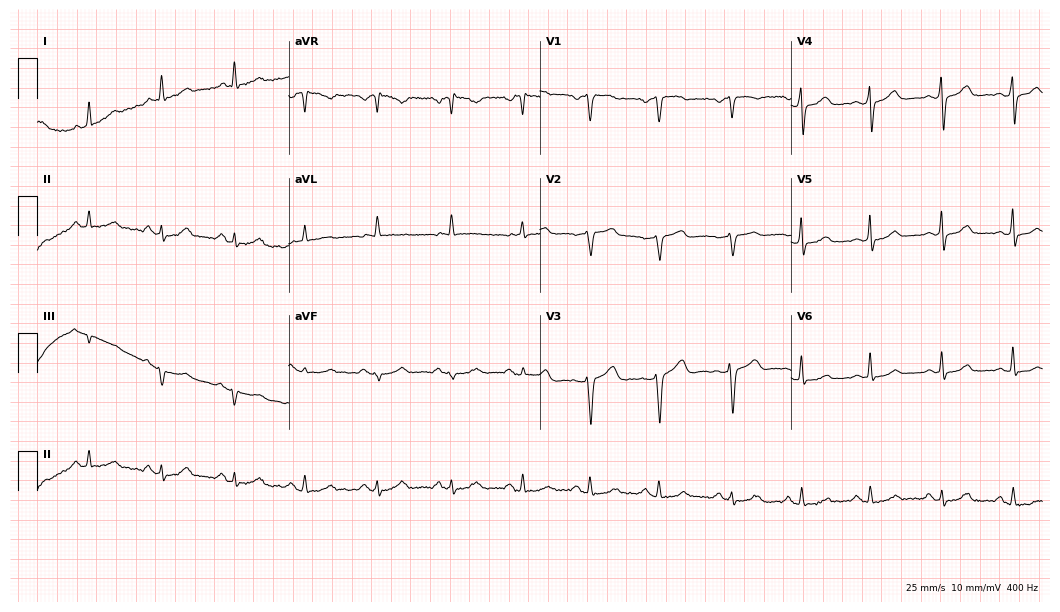
Electrocardiogram (10.2-second recording at 400 Hz), a female, 48 years old. Of the six screened findings (first-degree AV block, right bundle branch block, left bundle branch block, sinus bradycardia, atrial fibrillation, sinus tachycardia), none is recorded.